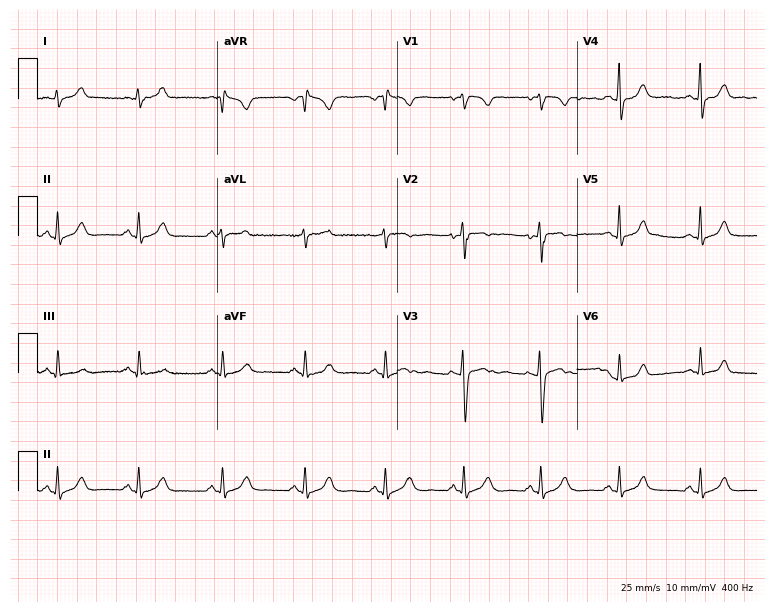
12-lead ECG from a 29-year-old woman (7.3-second recording at 400 Hz). Recorded interpretation: within normal limits.